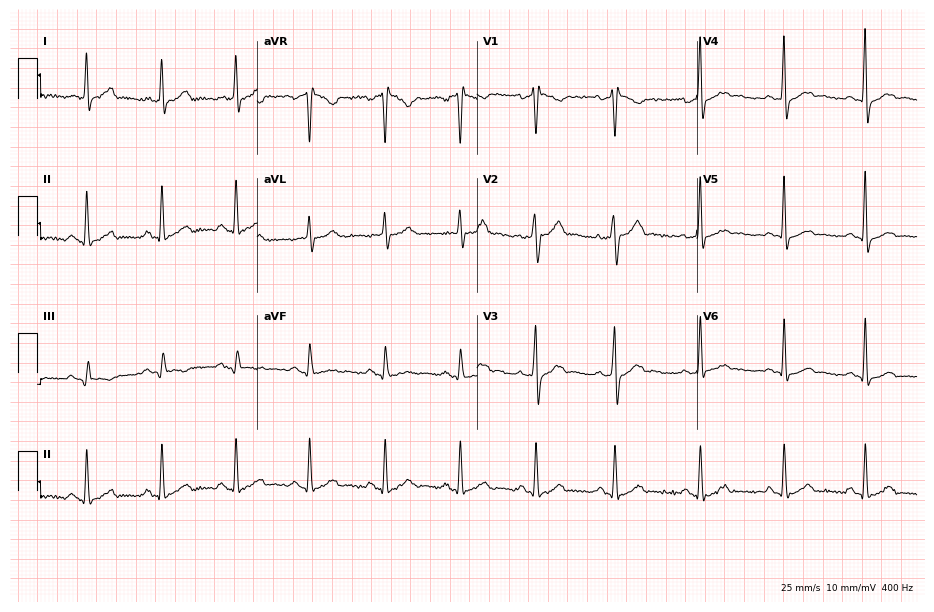
12-lead ECG from a 38-year-old male patient. No first-degree AV block, right bundle branch block, left bundle branch block, sinus bradycardia, atrial fibrillation or sinus tachycardia recorded for this tracing.